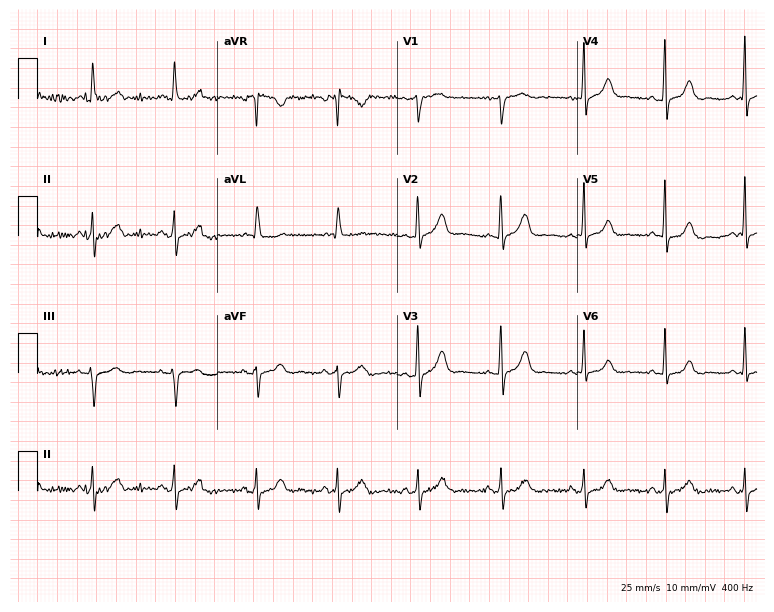
12-lead ECG (7.3-second recording at 400 Hz) from a 65-year-old woman. Screened for six findings — first-degree AV block, right bundle branch block, left bundle branch block, sinus bradycardia, atrial fibrillation, sinus tachycardia — none is recorded. Other findings, if any, are not listed.